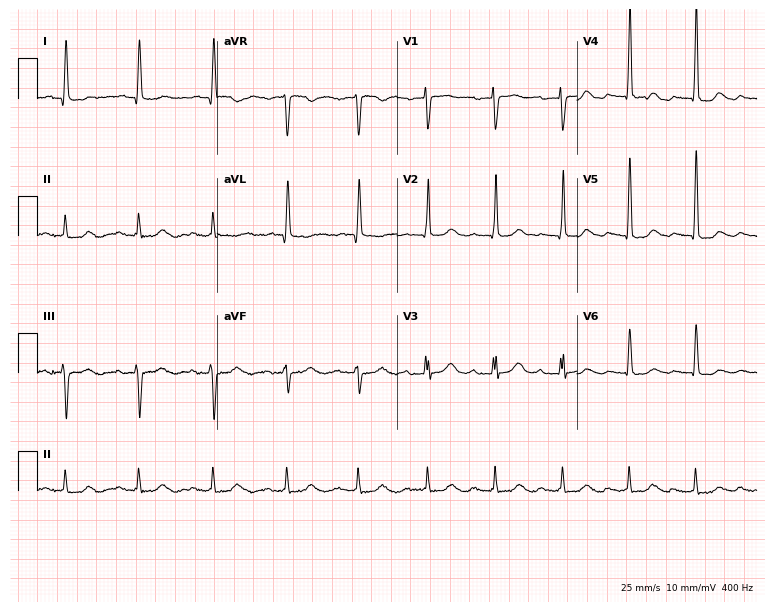
Electrocardiogram (7.3-second recording at 400 Hz), an 85-year-old female. Interpretation includes first-degree AV block.